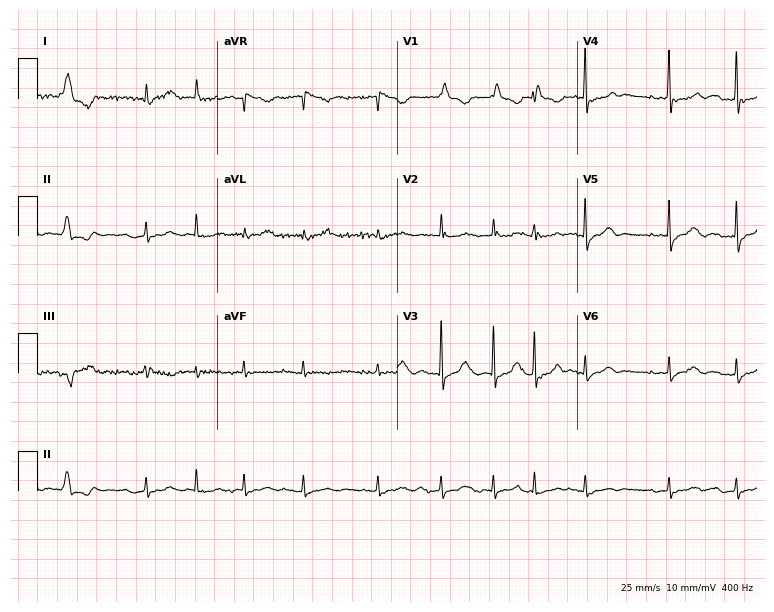
Electrocardiogram (7.3-second recording at 400 Hz), an 85-year-old woman. Interpretation includes atrial fibrillation.